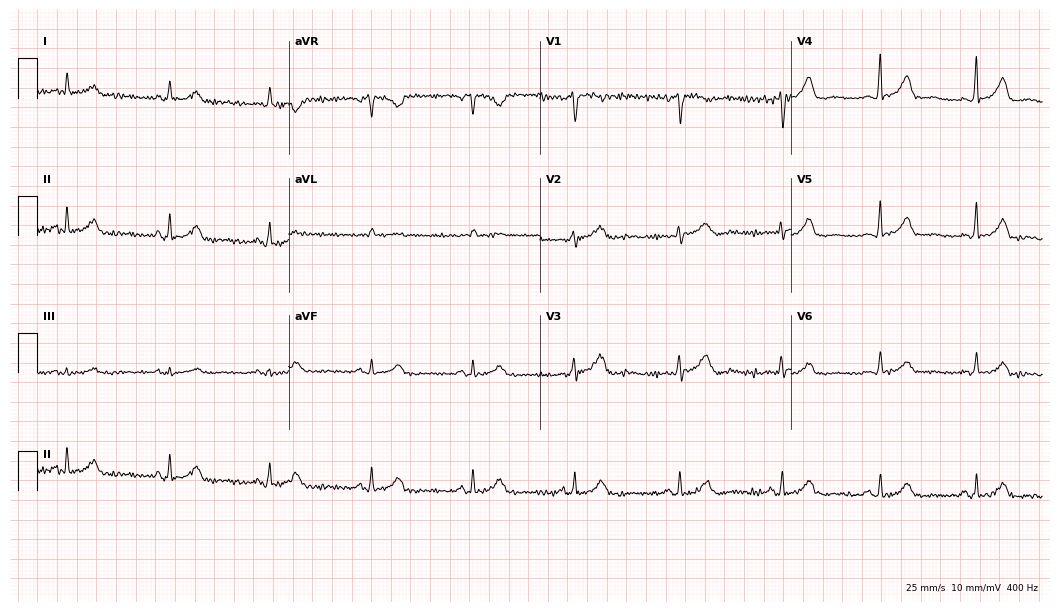
12-lead ECG from a 34-year-old woman. Screened for six findings — first-degree AV block, right bundle branch block, left bundle branch block, sinus bradycardia, atrial fibrillation, sinus tachycardia — none is recorded. Only these six findings were labelled.